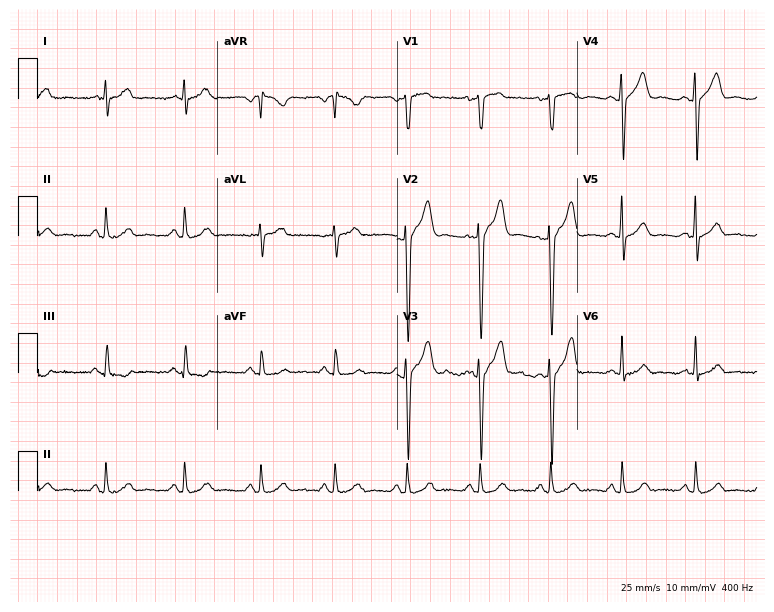
Resting 12-lead electrocardiogram (7.3-second recording at 400 Hz). Patient: a male, 35 years old. Read as a normal ECG.